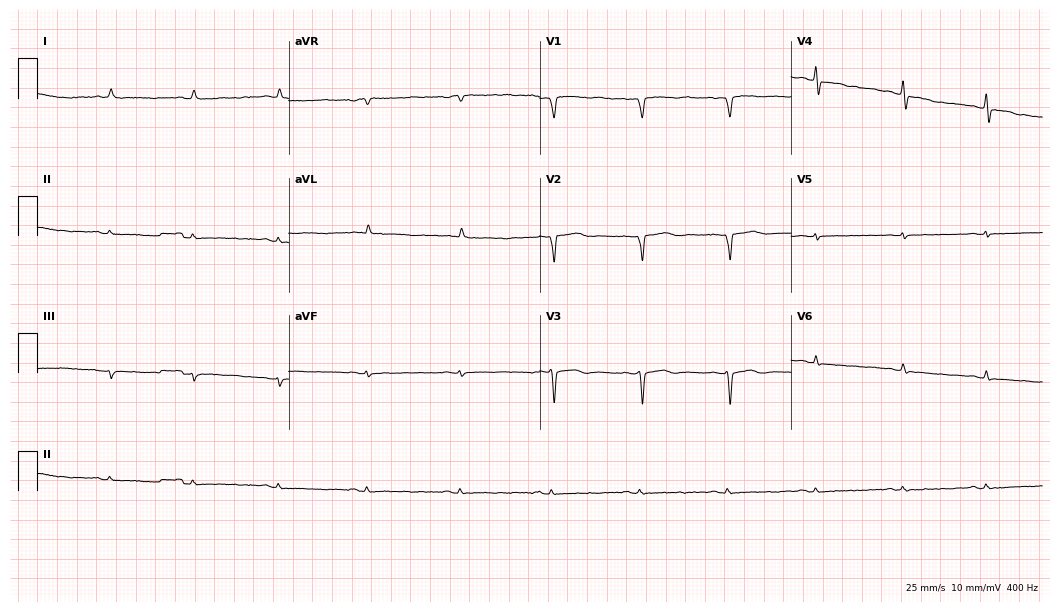
12-lead ECG from a female patient, 43 years old. No first-degree AV block, right bundle branch block, left bundle branch block, sinus bradycardia, atrial fibrillation or sinus tachycardia recorded for this tracing. Findings outside these six are not listed.